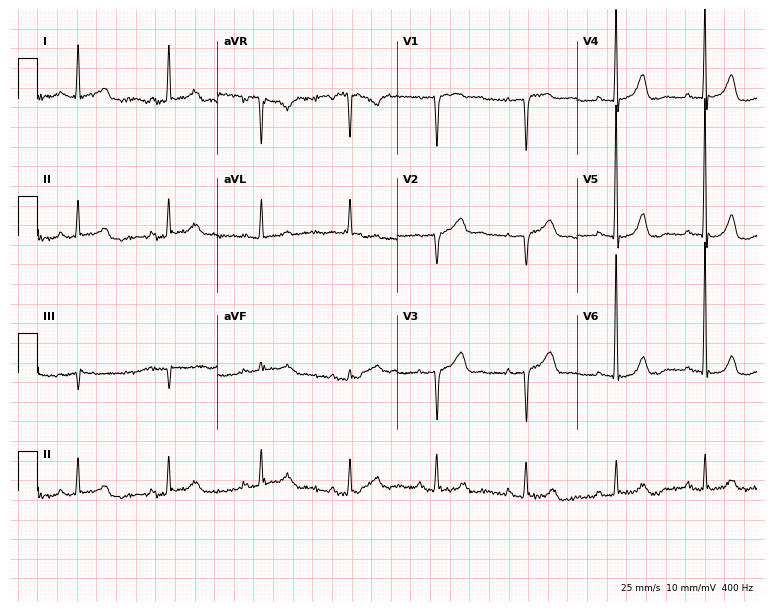
Standard 12-lead ECG recorded from a female patient, 80 years old. Read as a normal ECG.